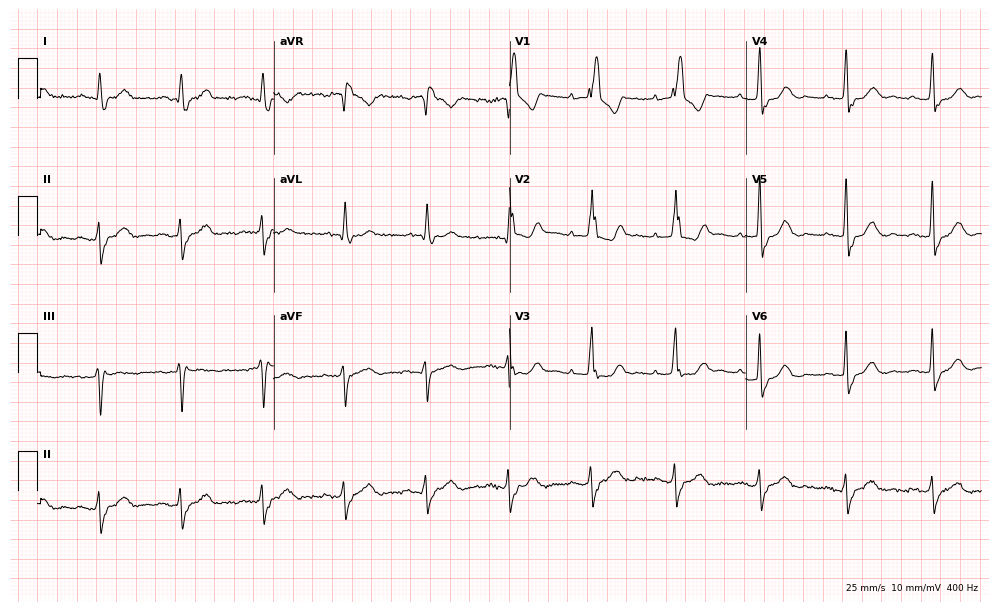
12-lead ECG from a male patient, 83 years old (9.6-second recording at 400 Hz). Shows right bundle branch block.